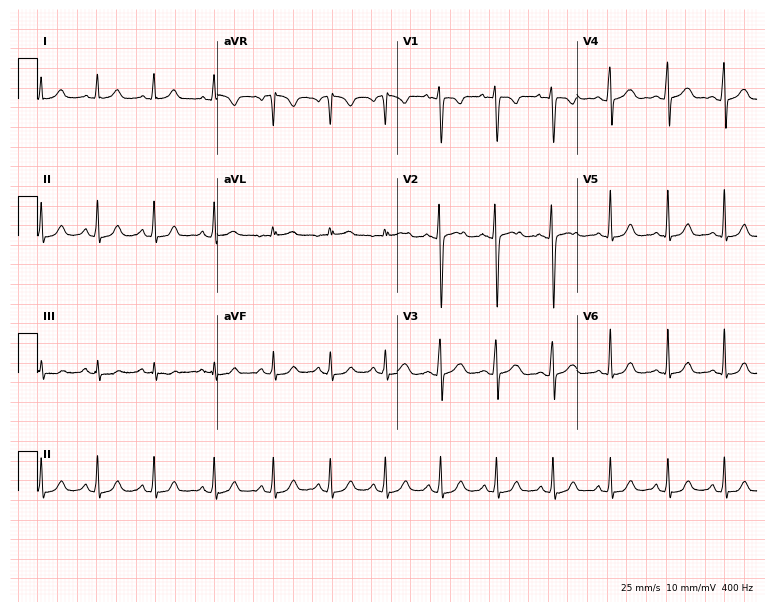
12-lead ECG from a female patient, 30 years old. Recorded interpretation: within normal limits.